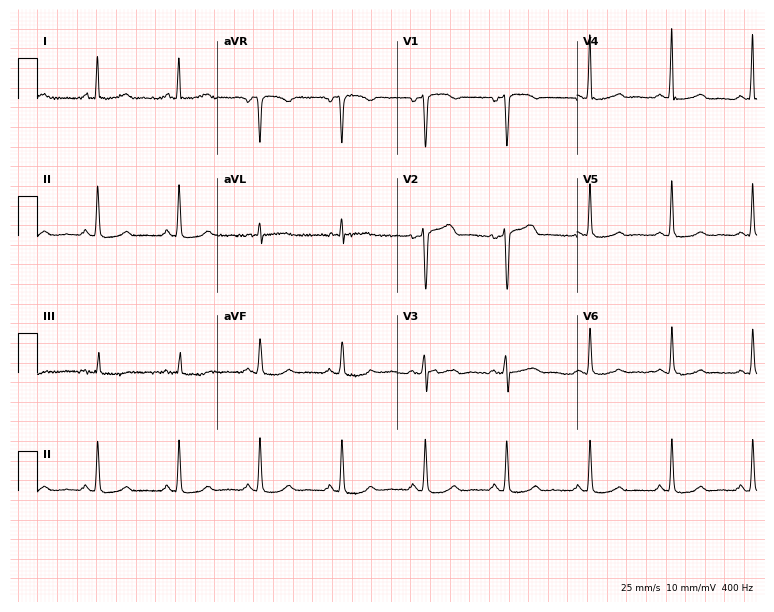
12-lead ECG from a woman, 53 years old. Labelled as a normal ECG.